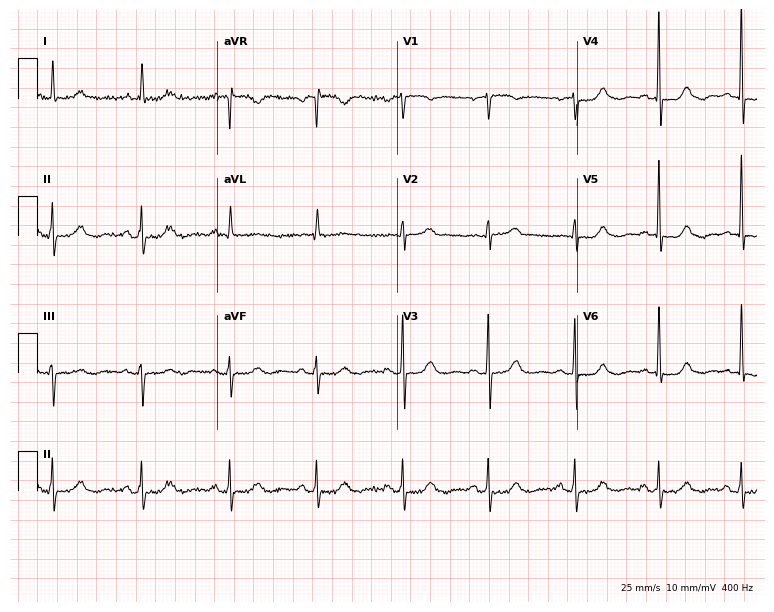
12-lead ECG (7.3-second recording at 400 Hz) from a woman, 76 years old. Labelled as a normal ECG.